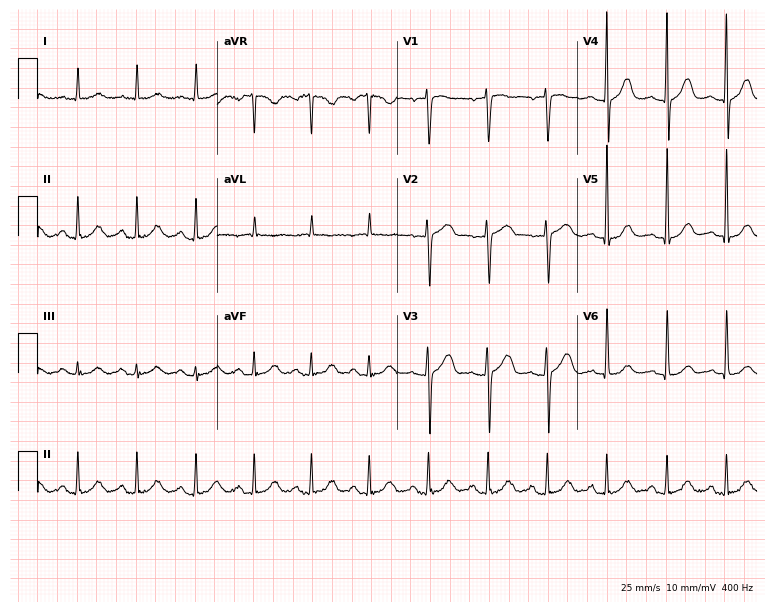
ECG — a male, 64 years old. Screened for six findings — first-degree AV block, right bundle branch block (RBBB), left bundle branch block (LBBB), sinus bradycardia, atrial fibrillation (AF), sinus tachycardia — none is recorded.